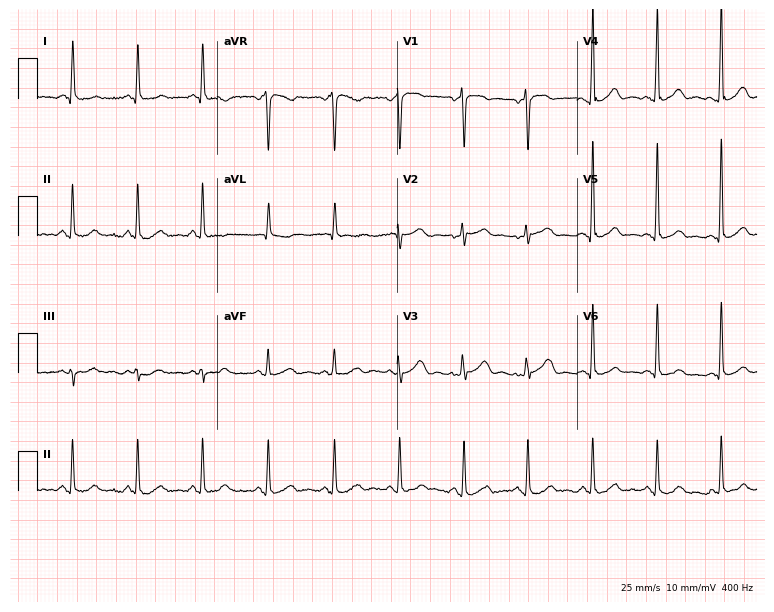
Resting 12-lead electrocardiogram. Patient: a woman, 63 years old. None of these six findings is recorded: first-degree AV block, right bundle branch block (RBBB), left bundle branch block (LBBB), sinus bradycardia, atrial fibrillation (AF), sinus tachycardia.